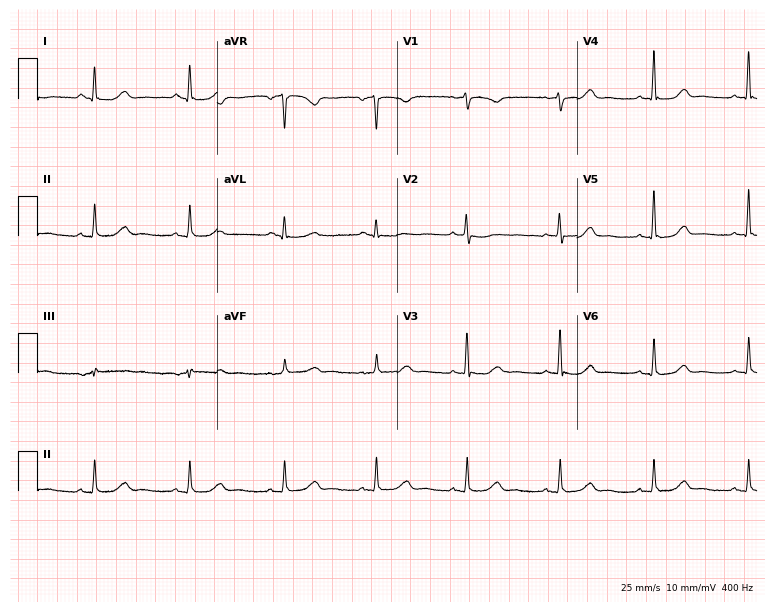
12-lead ECG from a 74-year-old woman (7.3-second recording at 400 Hz). Recorded interpretation: within normal limits.